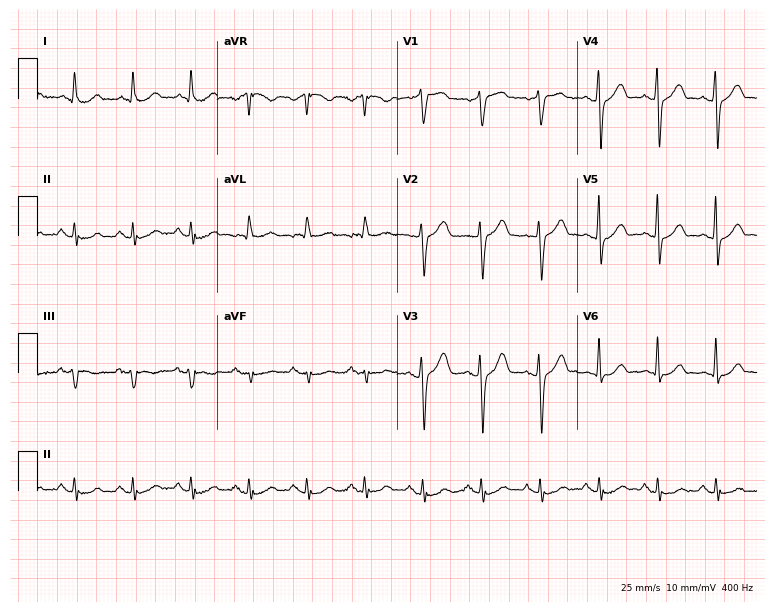
12-lead ECG (7.3-second recording at 400 Hz) from a male, 83 years old. Screened for six findings — first-degree AV block, right bundle branch block, left bundle branch block, sinus bradycardia, atrial fibrillation, sinus tachycardia — none is recorded.